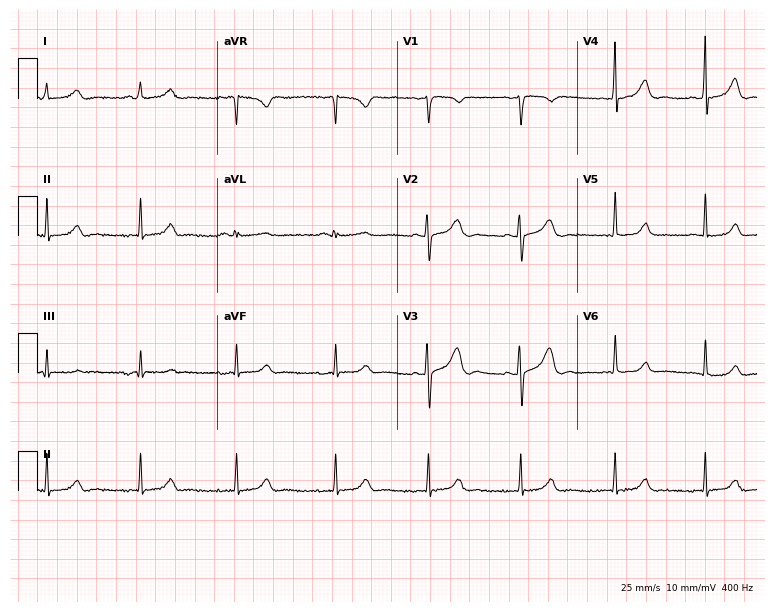
Electrocardiogram, a 28-year-old female. Of the six screened findings (first-degree AV block, right bundle branch block, left bundle branch block, sinus bradycardia, atrial fibrillation, sinus tachycardia), none is recorded.